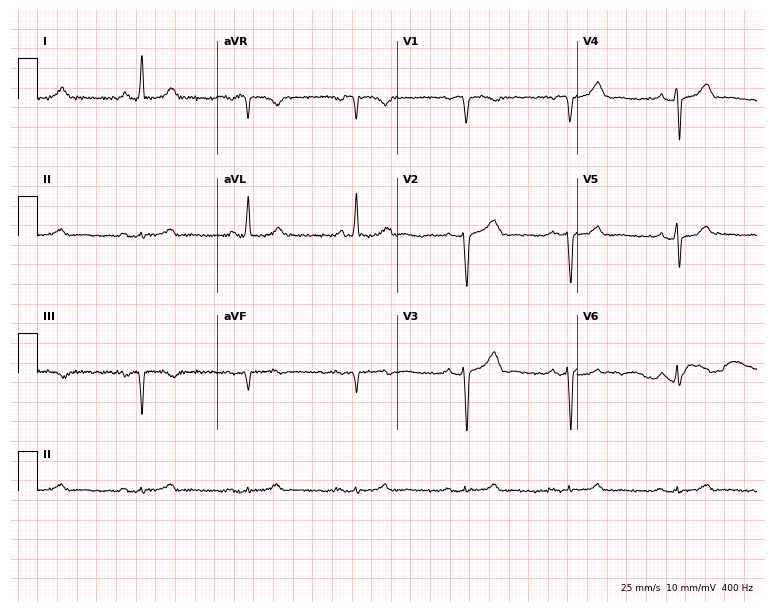
Standard 12-lead ECG recorded from a male, 56 years old. None of these six findings is recorded: first-degree AV block, right bundle branch block (RBBB), left bundle branch block (LBBB), sinus bradycardia, atrial fibrillation (AF), sinus tachycardia. Other findings, if any, are not listed.